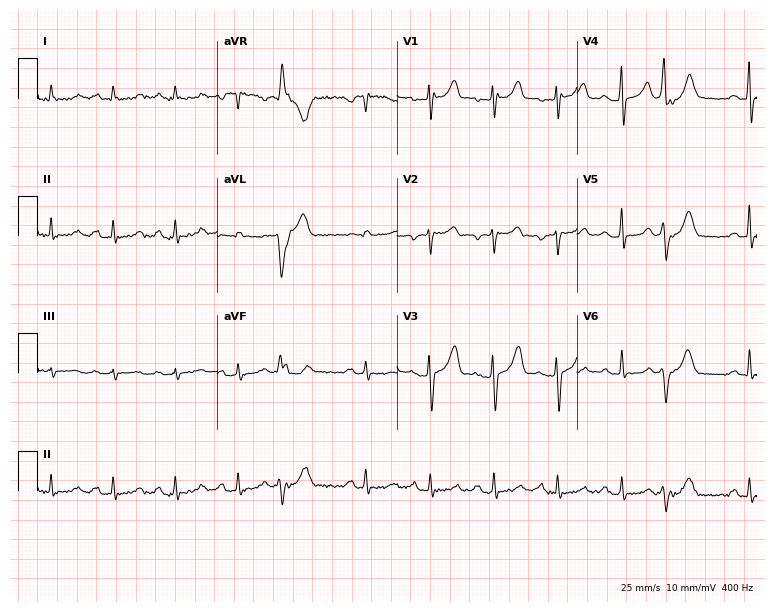
Resting 12-lead electrocardiogram (7.3-second recording at 400 Hz). Patient: a male, 38 years old. None of these six findings is recorded: first-degree AV block, right bundle branch block (RBBB), left bundle branch block (LBBB), sinus bradycardia, atrial fibrillation (AF), sinus tachycardia.